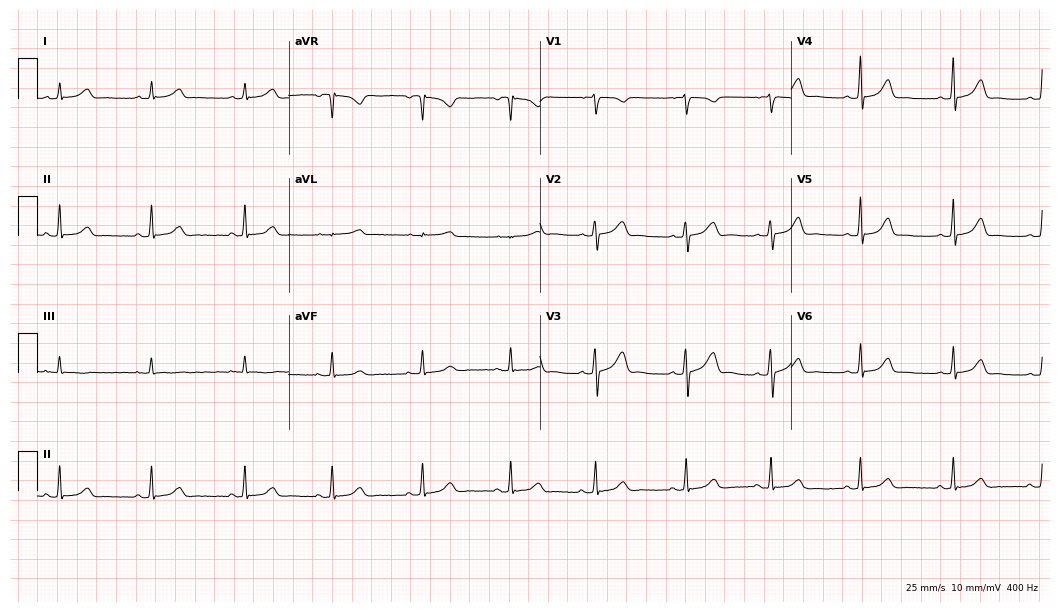
Resting 12-lead electrocardiogram. Patient: a 22-year-old female. Read as a normal ECG.